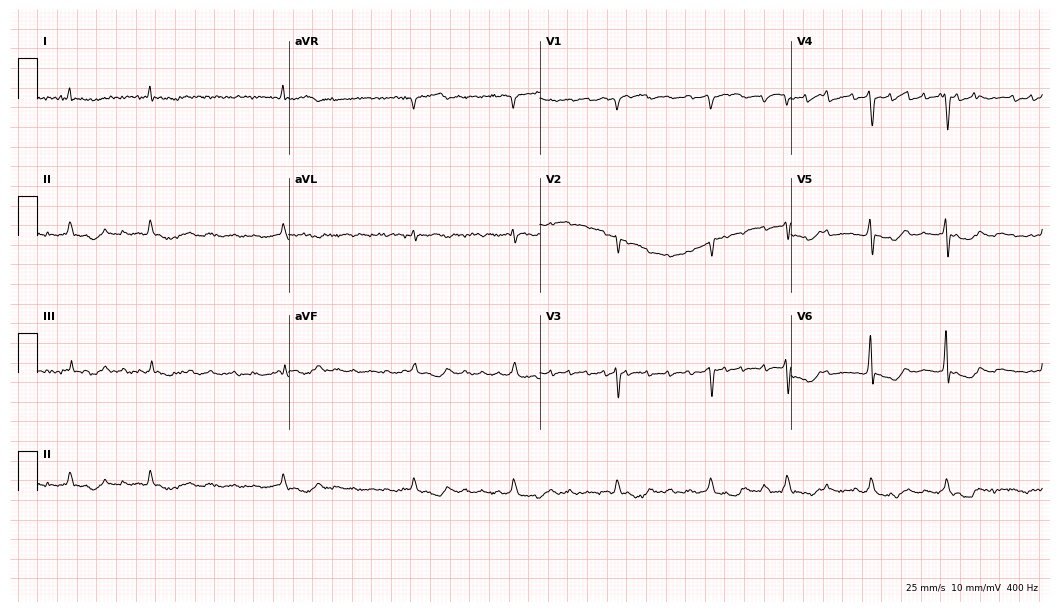
Electrocardiogram, a woman, 85 years old. Interpretation includes atrial fibrillation (AF).